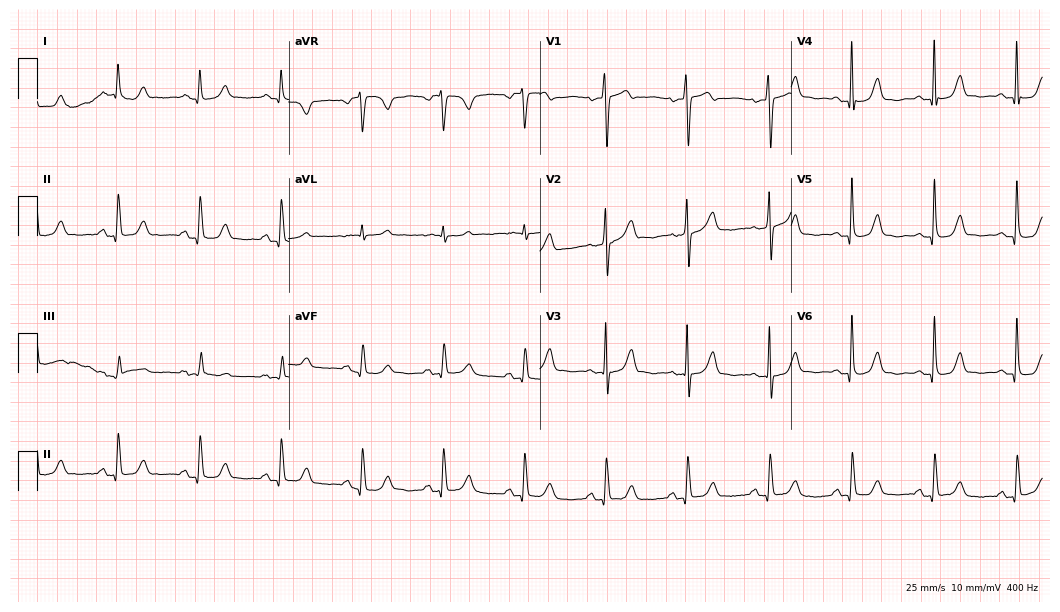
12-lead ECG from an 80-year-old woman. Recorded interpretation: within normal limits.